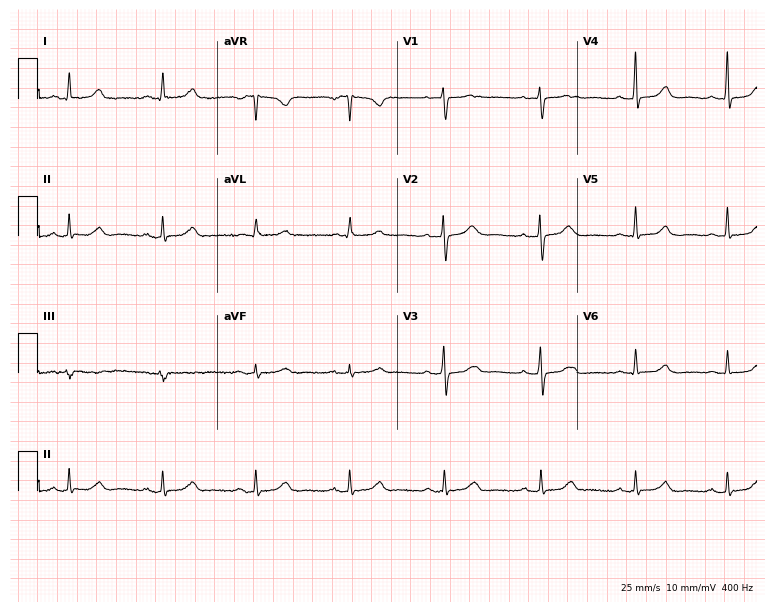
Standard 12-lead ECG recorded from a female patient, 57 years old (7.3-second recording at 400 Hz). None of these six findings is recorded: first-degree AV block, right bundle branch block (RBBB), left bundle branch block (LBBB), sinus bradycardia, atrial fibrillation (AF), sinus tachycardia. Only these six findings were labelled.